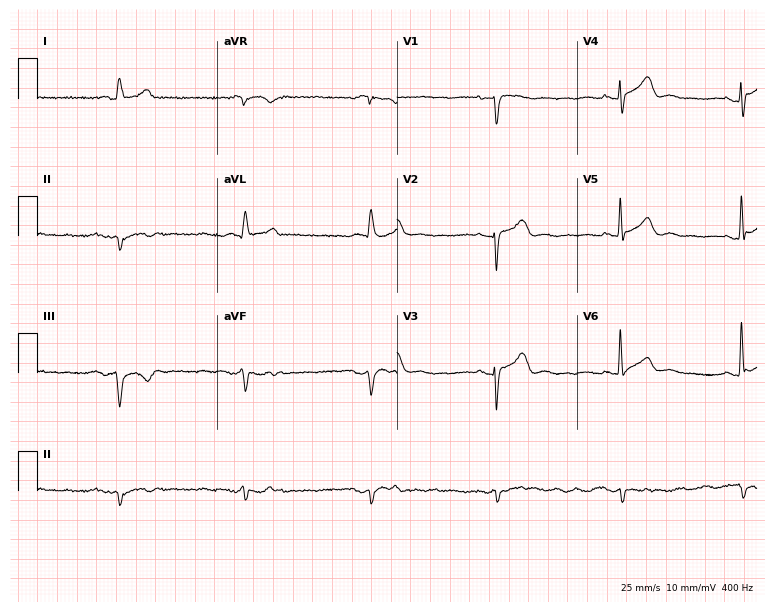
12-lead ECG from an 84-year-old male patient. Findings include sinus bradycardia (a sinus rate of 50 beats per minute or less).